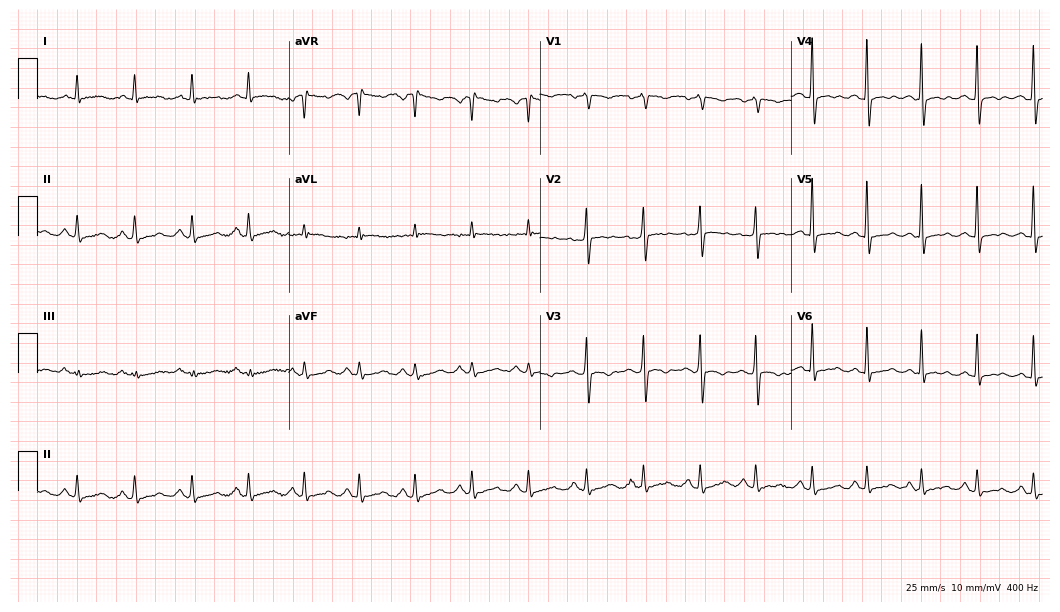
Electrocardiogram (10.2-second recording at 400 Hz), a woman, 63 years old. Interpretation includes sinus tachycardia (a sinus rate of 100 beats per minute or more).